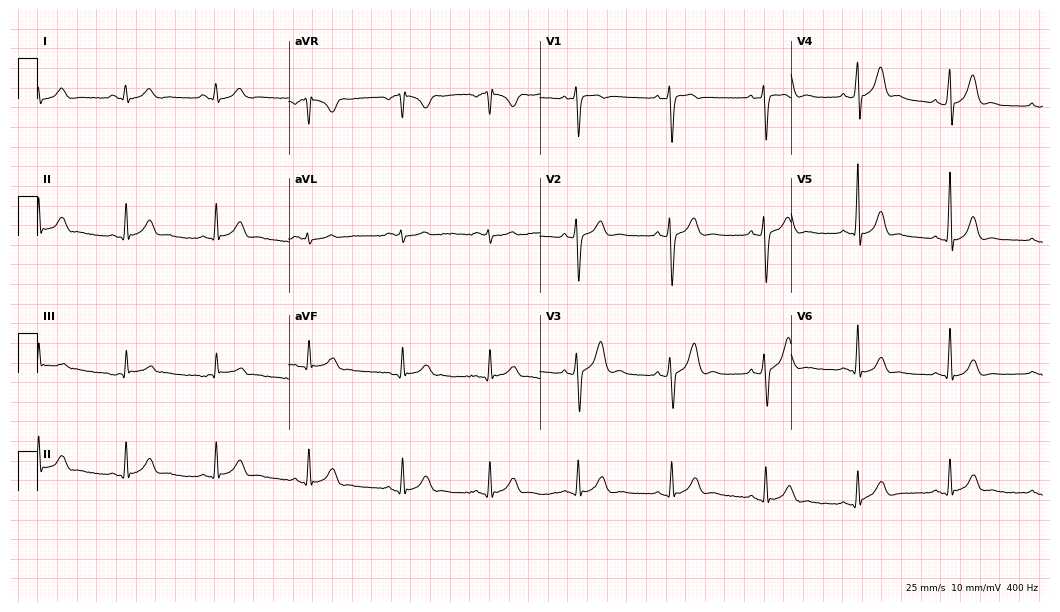
12-lead ECG from a man, 30 years old. Recorded interpretation: within normal limits.